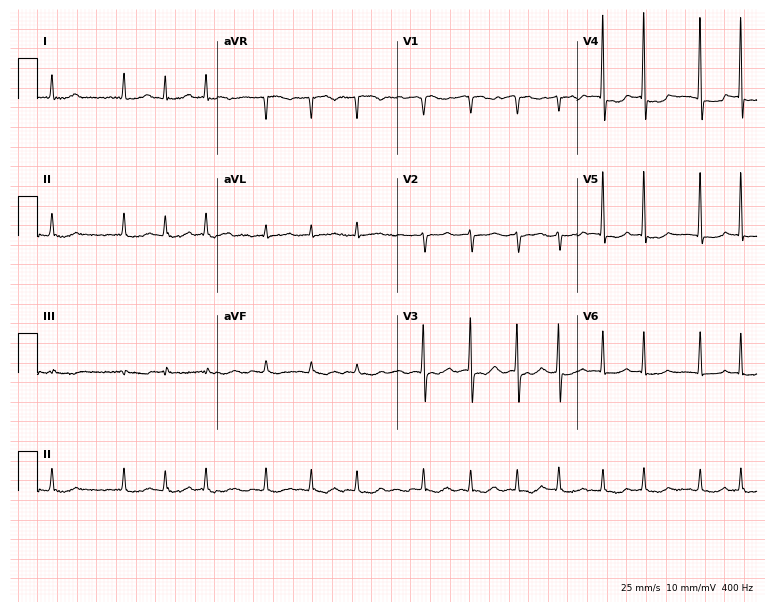
Standard 12-lead ECG recorded from an 83-year-old female (7.3-second recording at 400 Hz). The tracing shows atrial fibrillation.